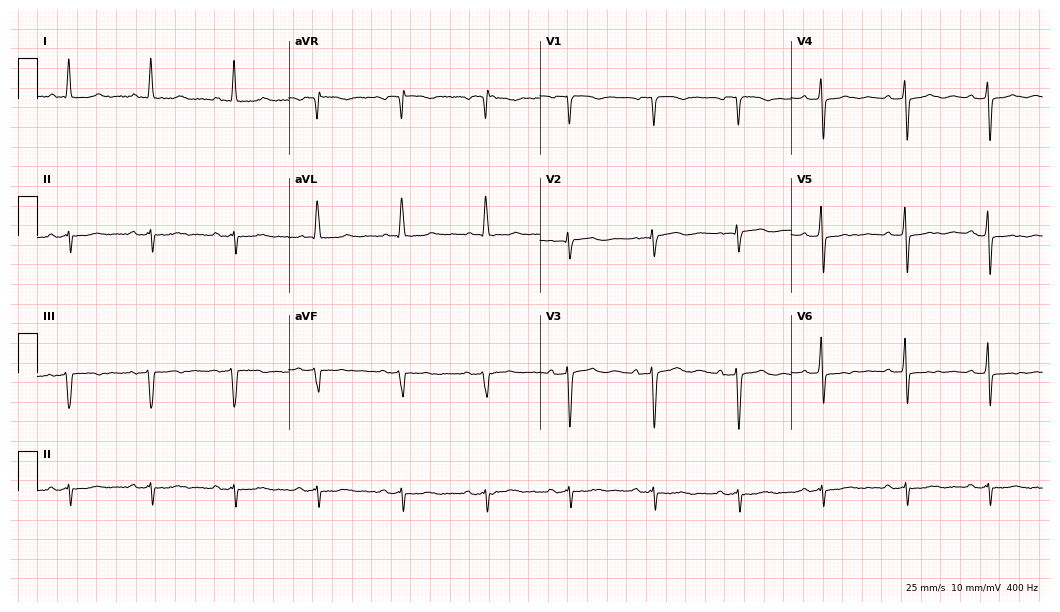
ECG (10.2-second recording at 400 Hz) — a 73-year-old female patient. Screened for six findings — first-degree AV block, right bundle branch block (RBBB), left bundle branch block (LBBB), sinus bradycardia, atrial fibrillation (AF), sinus tachycardia — none is recorded. Only these six findings were labelled.